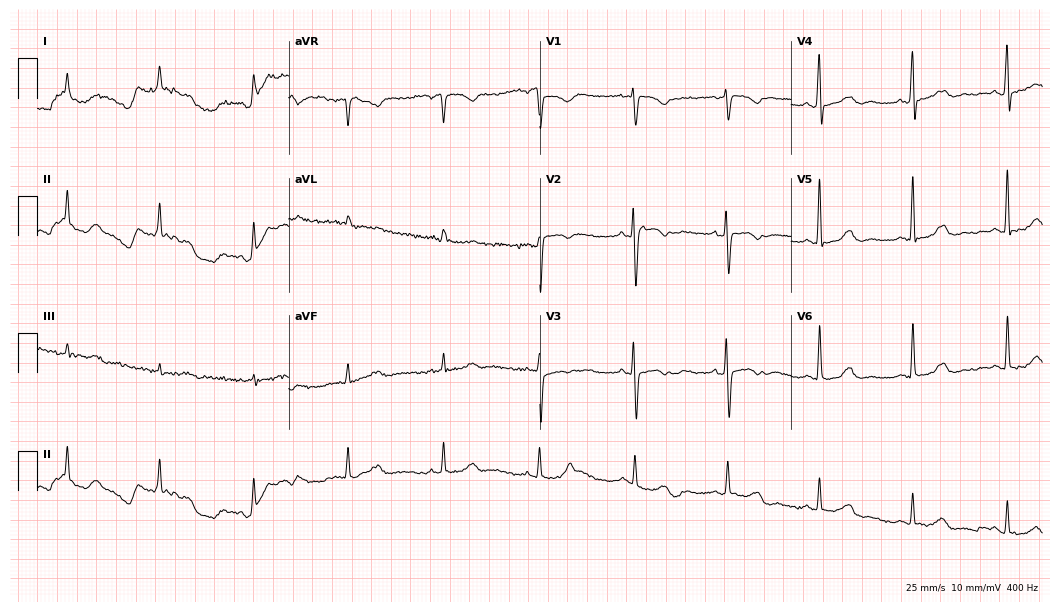
Resting 12-lead electrocardiogram. Patient: a female, 51 years old. Read as a normal ECG.